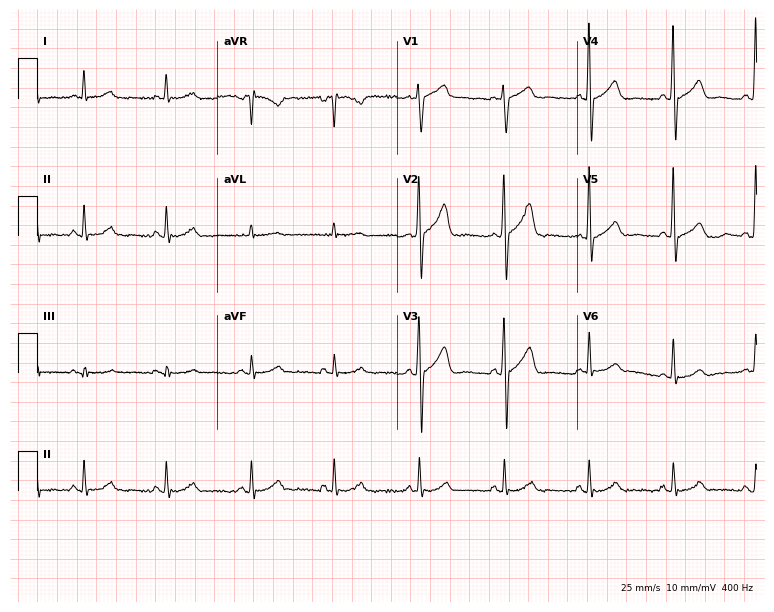
Electrocardiogram, a 44-year-old male patient. Overall reading on record: normal ECG.